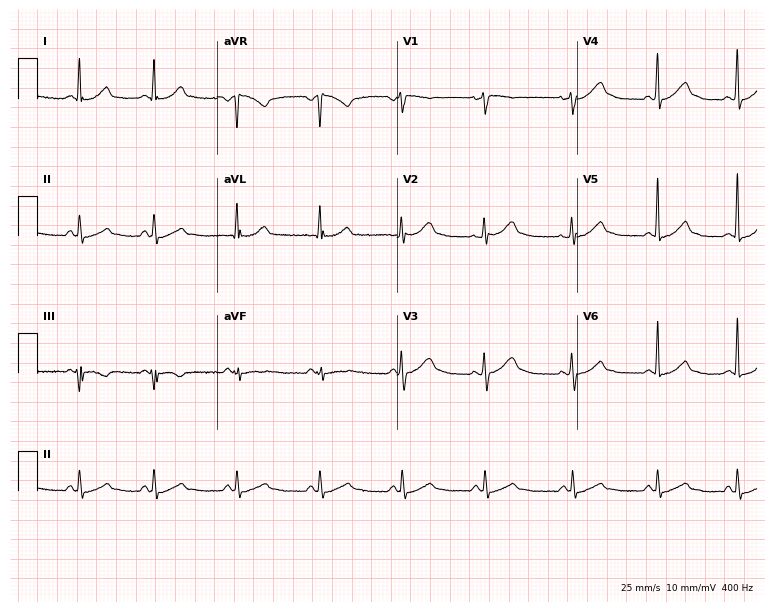
Electrocardiogram, a 24-year-old female patient. Of the six screened findings (first-degree AV block, right bundle branch block (RBBB), left bundle branch block (LBBB), sinus bradycardia, atrial fibrillation (AF), sinus tachycardia), none is recorded.